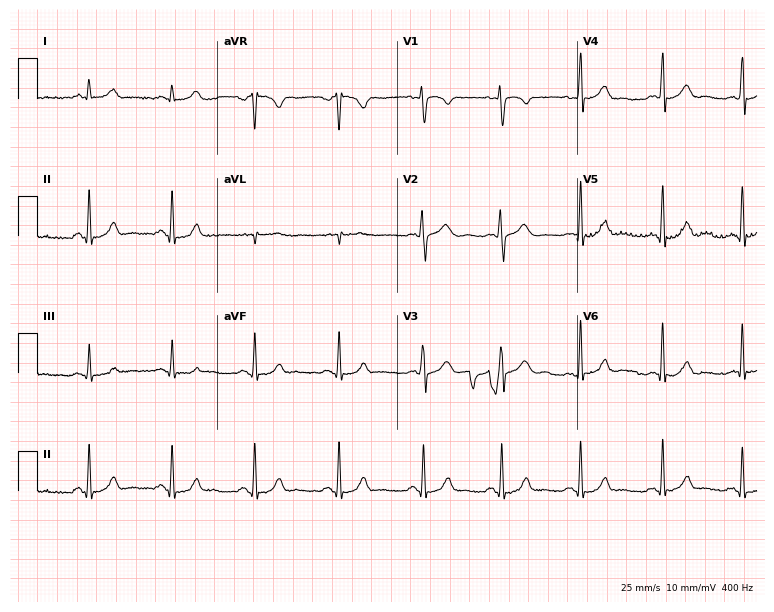
12-lead ECG (7.3-second recording at 400 Hz) from a female, 28 years old. Labelled as a normal ECG.